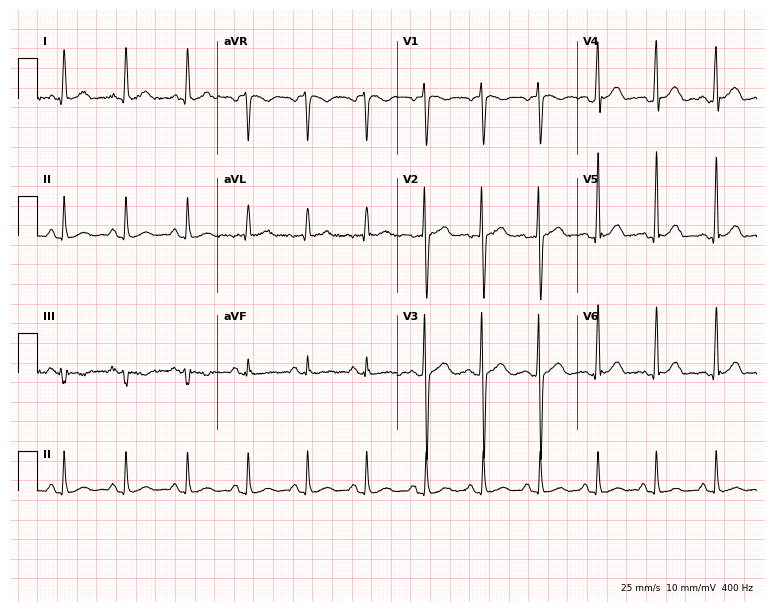
12-lead ECG from a male patient, 26 years old. Screened for six findings — first-degree AV block, right bundle branch block, left bundle branch block, sinus bradycardia, atrial fibrillation, sinus tachycardia — none is recorded.